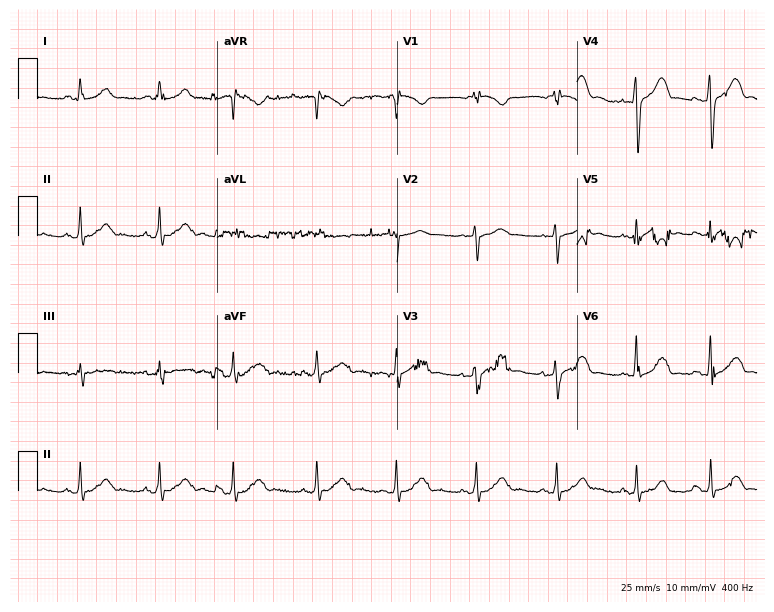
ECG (7.3-second recording at 400 Hz) — a 68-year-old man. Labelled as a normal ECG.